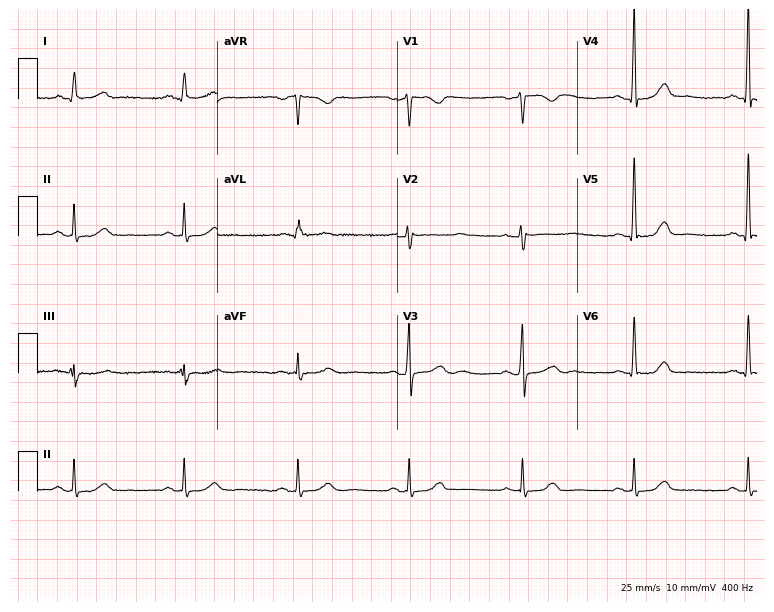
12-lead ECG (7.3-second recording at 400 Hz) from a female patient, 48 years old. Labelled as a normal ECG.